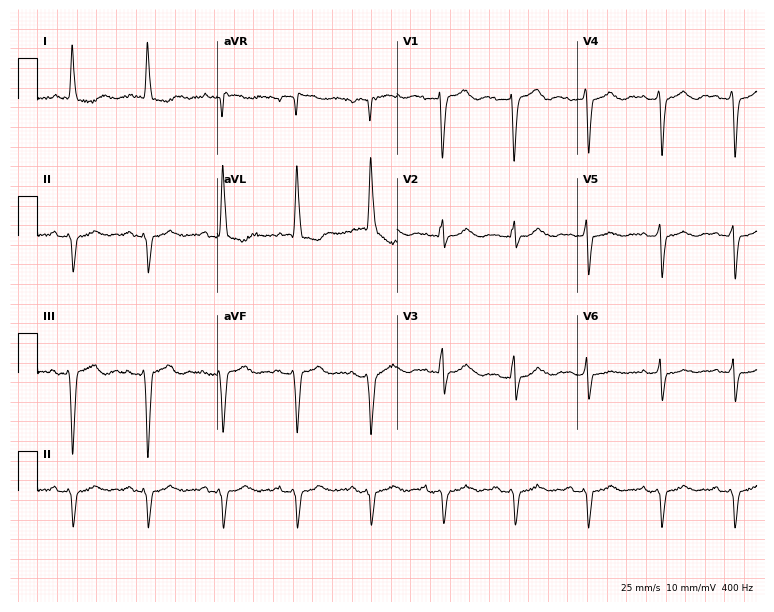
12-lead ECG from a 73-year-old female. No first-degree AV block, right bundle branch block, left bundle branch block, sinus bradycardia, atrial fibrillation or sinus tachycardia recorded for this tracing.